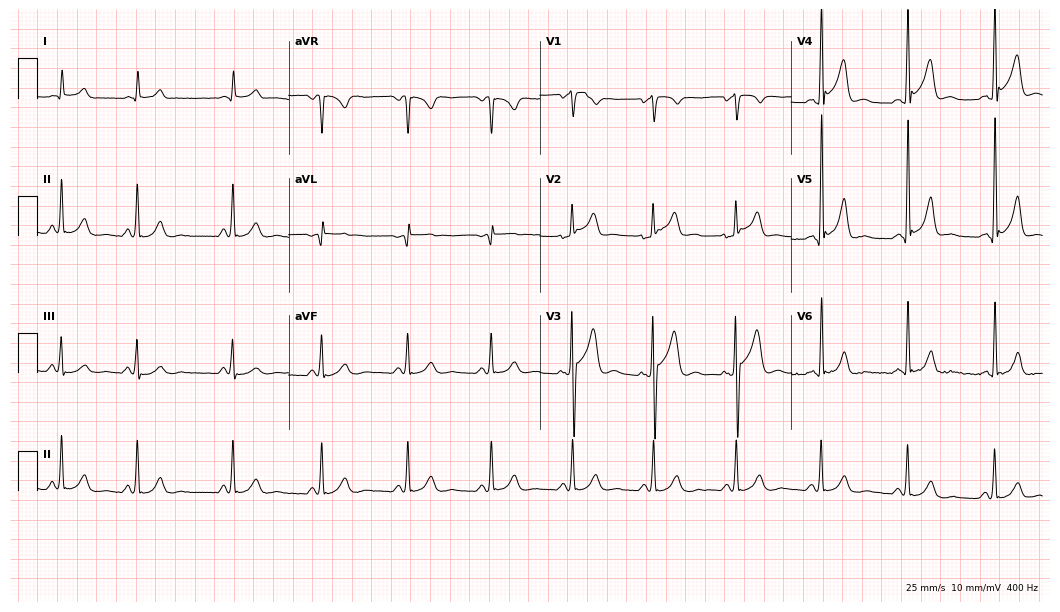
Resting 12-lead electrocardiogram. Patient: a 48-year-old male. None of these six findings is recorded: first-degree AV block, right bundle branch block, left bundle branch block, sinus bradycardia, atrial fibrillation, sinus tachycardia.